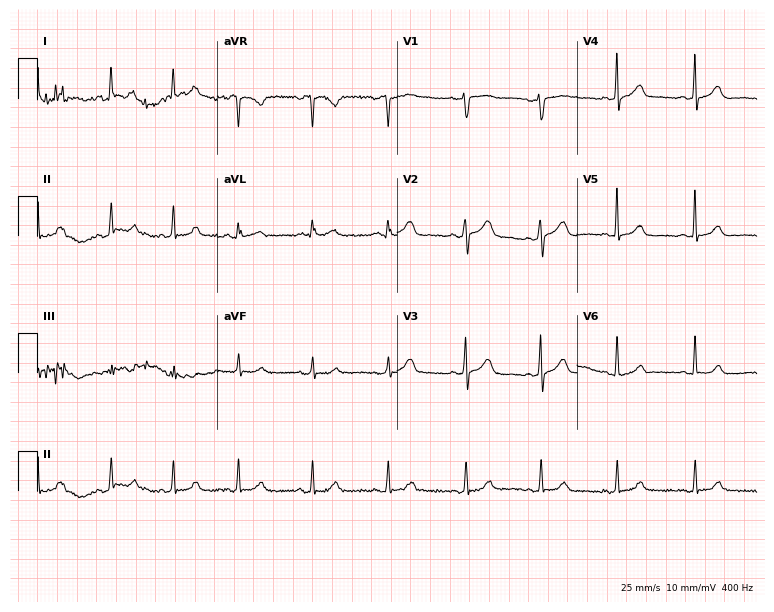
Standard 12-lead ECG recorded from a 34-year-old woman. None of these six findings is recorded: first-degree AV block, right bundle branch block, left bundle branch block, sinus bradycardia, atrial fibrillation, sinus tachycardia.